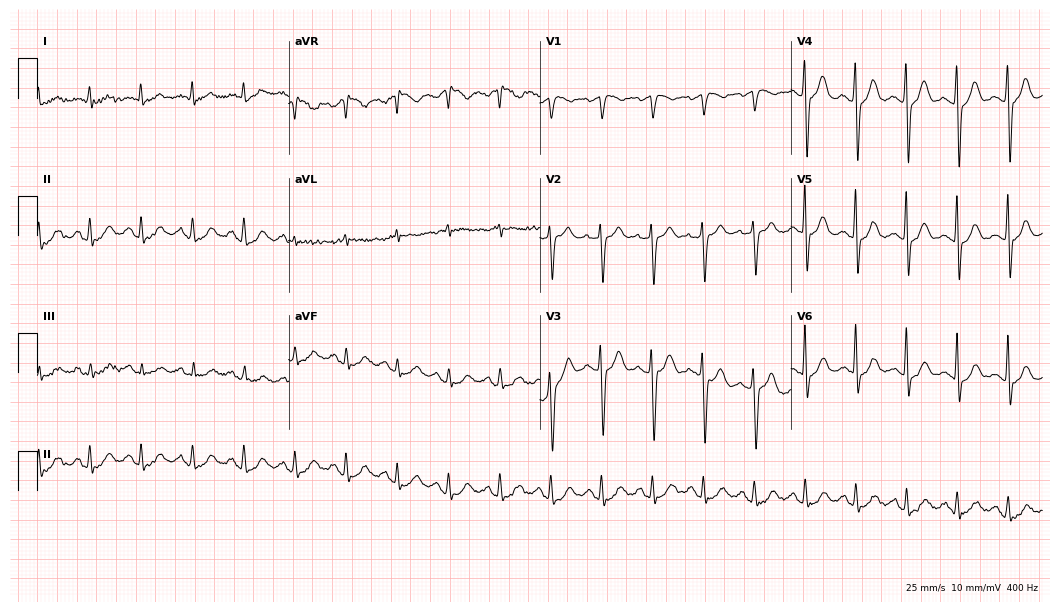
Standard 12-lead ECG recorded from a female, 74 years old. None of these six findings is recorded: first-degree AV block, right bundle branch block (RBBB), left bundle branch block (LBBB), sinus bradycardia, atrial fibrillation (AF), sinus tachycardia. Only these six findings were labelled.